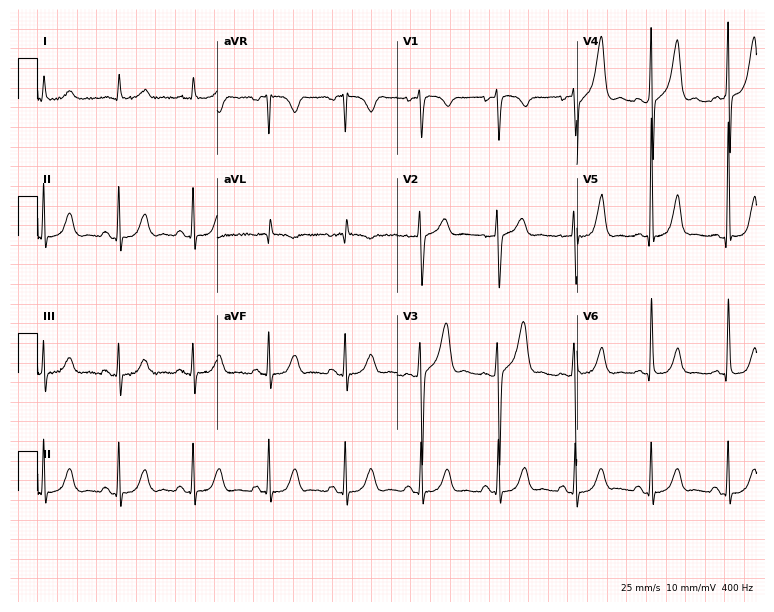
12-lead ECG from a 79-year-old male patient. Screened for six findings — first-degree AV block, right bundle branch block, left bundle branch block, sinus bradycardia, atrial fibrillation, sinus tachycardia — none is recorded.